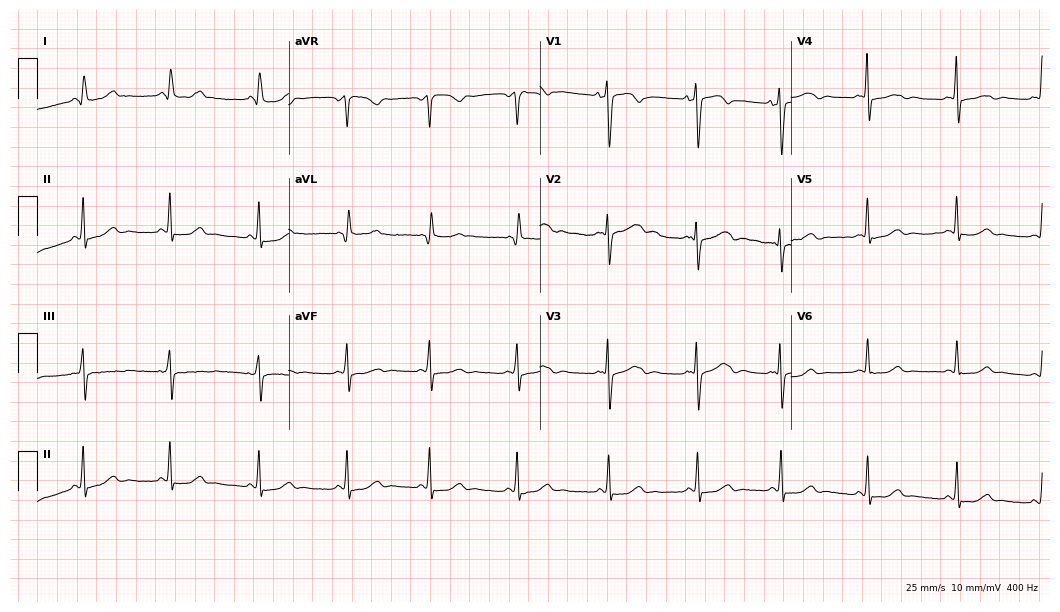
12-lead ECG from a female patient, 37 years old. Screened for six findings — first-degree AV block, right bundle branch block (RBBB), left bundle branch block (LBBB), sinus bradycardia, atrial fibrillation (AF), sinus tachycardia — none is recorded. Findings outside these six are not listed.